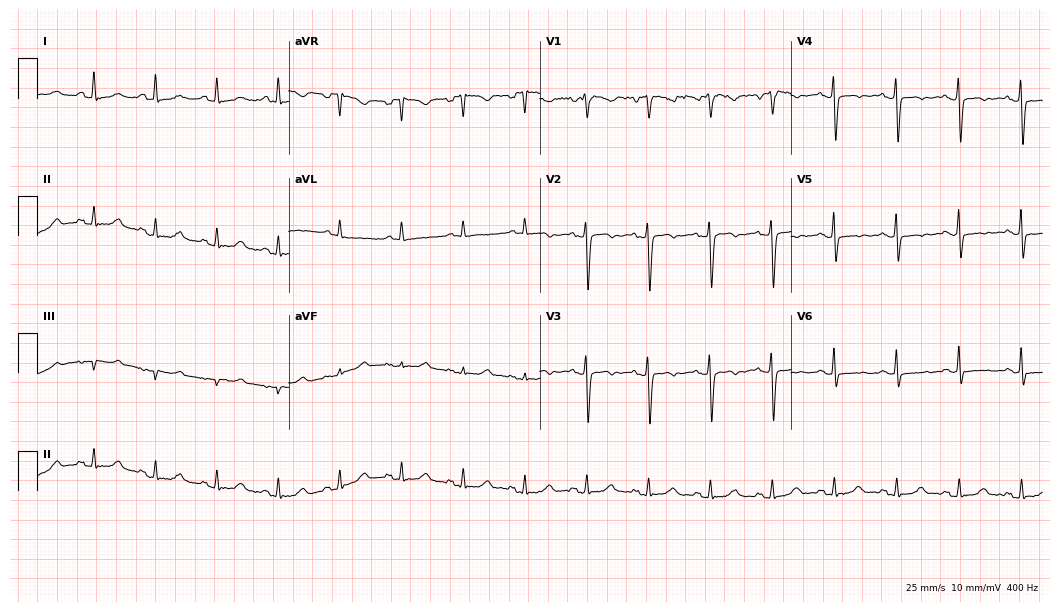
12-lead ECG from a 62-year-old female. No first-degree AV block, right bundle branch block, left bundle branch block, sinus bradycardia, atrial fibrillation or sinus tachycardia recorded for this tracing.